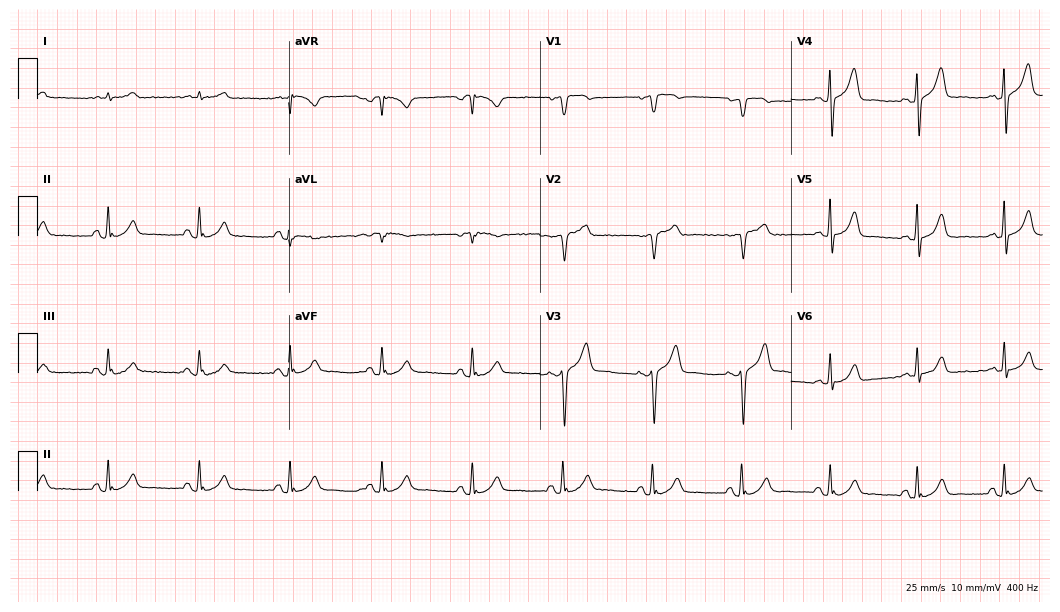
Resting 12-lead electrocardiogram. Patient: a man, 80 years old. None of these six findings is recorded: first-degree AV block, right bundle branch block, left bundle branch block, sinus bradycardia, atrial fibrillation, sinus tachycardia. Only these six findings were labelled.